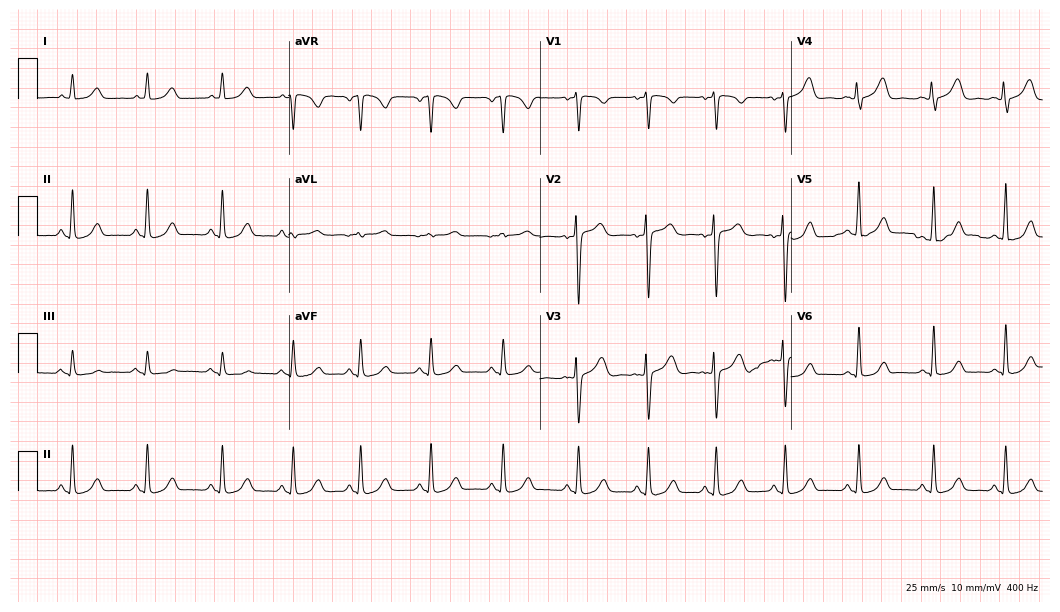
Resting 12-lead electrocardiogram. Patient: a woman, 49 years old. Read as a normal ECG.